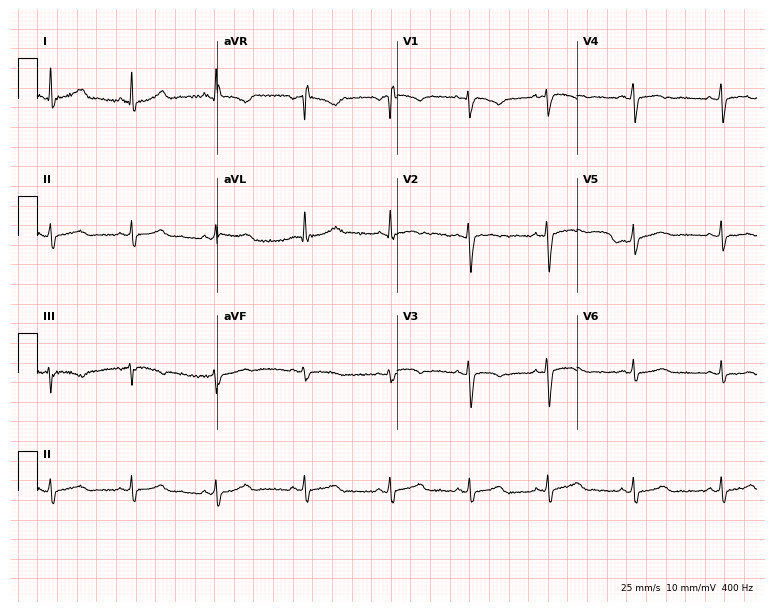
Standard 12-lead ECG recorded from a 27-year-old female. Read as a normal ECG.